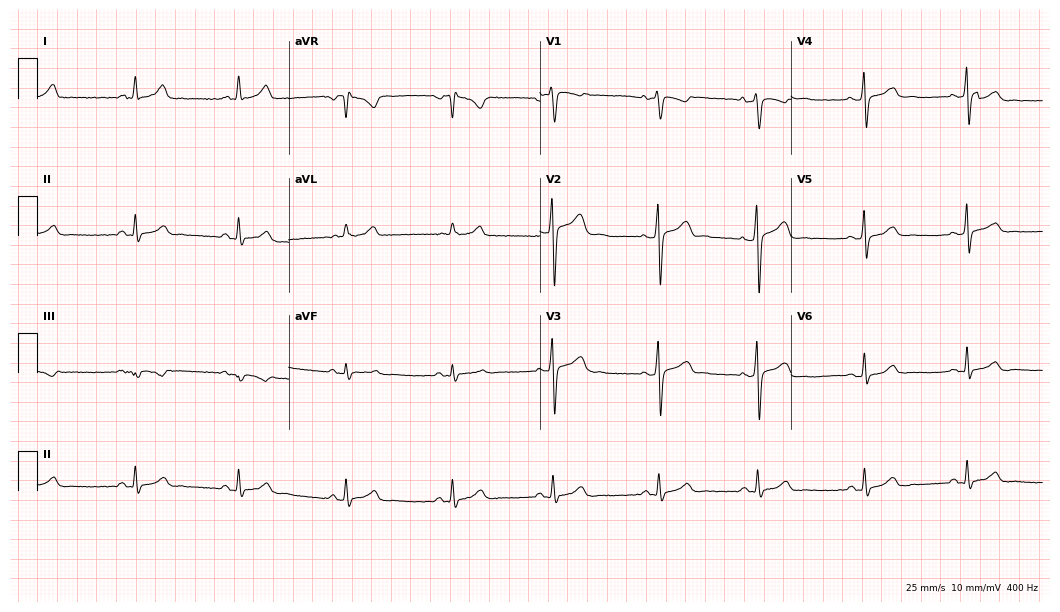
ECG — a 36-year-old man. Labelled as a normal ECG.